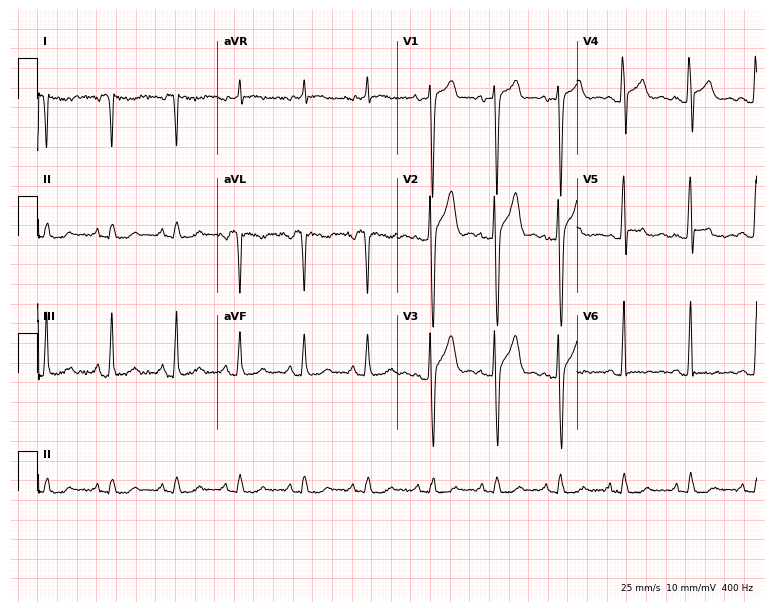
Standard 12-lead ECG recorded from a male, 35 years old. None of these six findings is recorded: first-degree AV block, right bundle branch block (RBBB), left bundle branch block (LBBB), sinus bradycardia, atrial fibrillation (AF), sinus tachycardia.